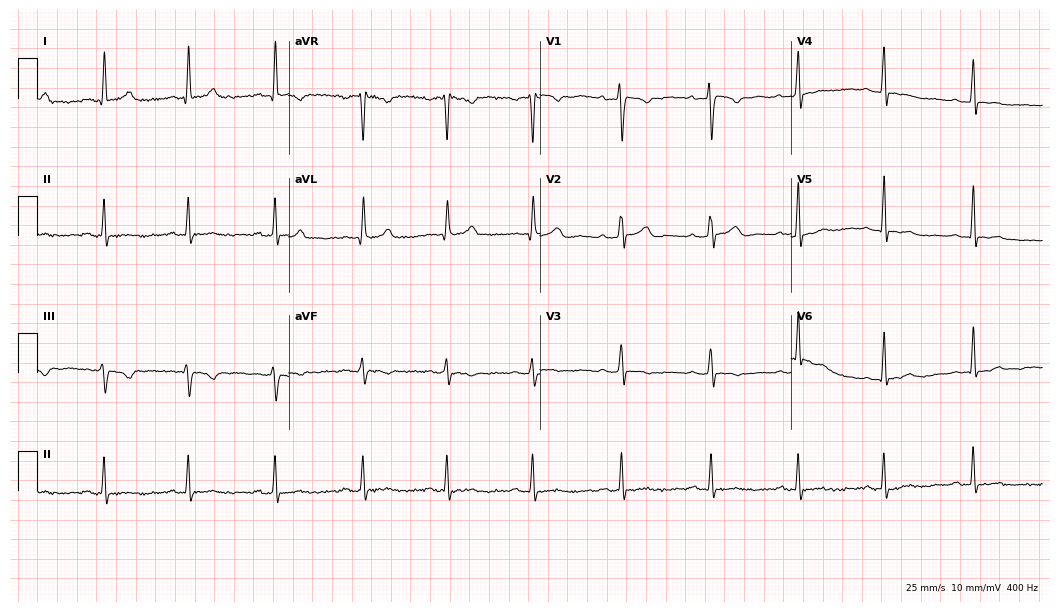
12-lead ECG from a 53-year-old female patient. Screened for six findings — first-degree AV block, right bundle branch block, left bundle branch block, sinus bradycardia, atrial fibrillation, sinus tachycardia — none is recorded.